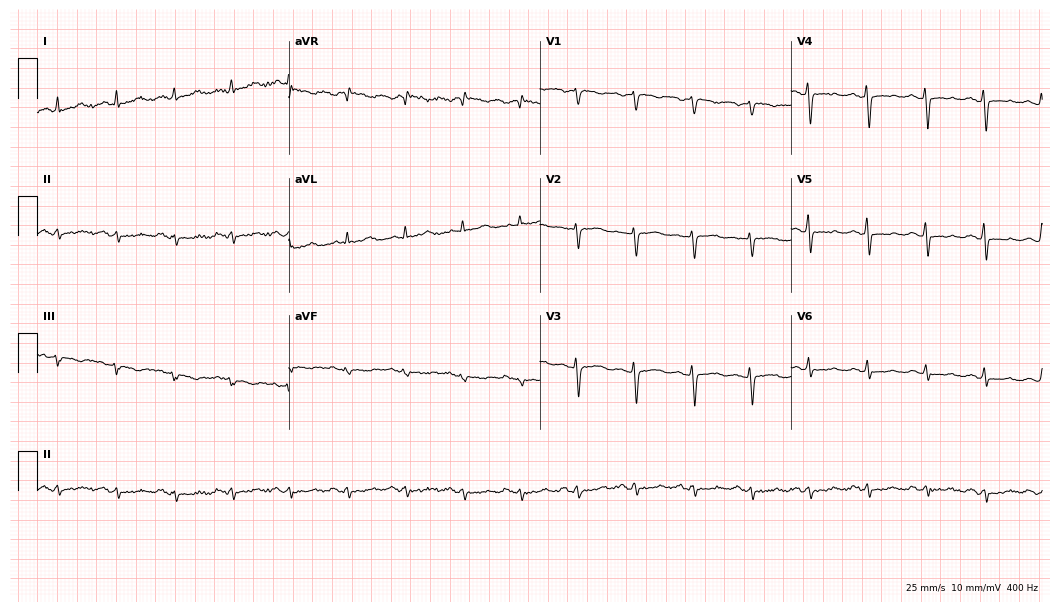
Resting 12-lead electrocardiogram. Patient: a 59-year-old woman. The tracing shows sinus tachycardia (a sinus rate of 100 beats per minute or more).